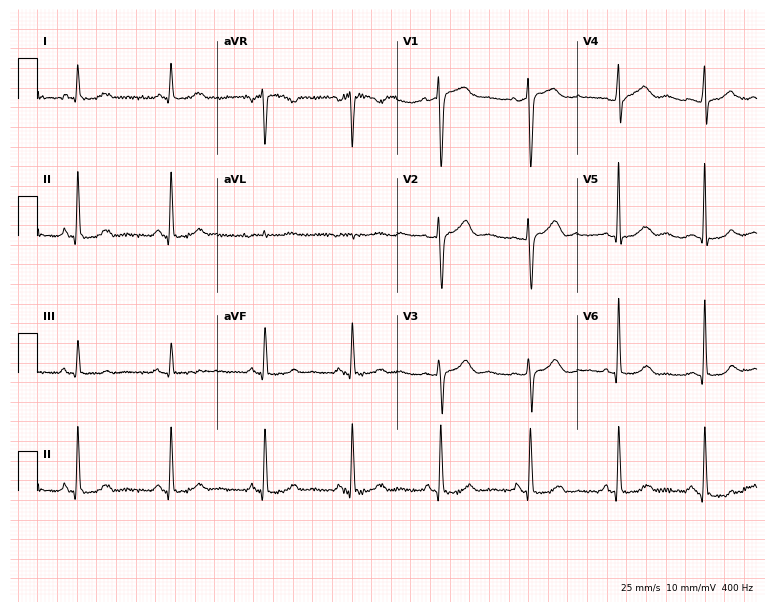
Electrocardiogram, a 46-year-old female. Of the six screened findings (first-degree AV block, right bundle branch block, left bundle branch block, sinus bradycardia, atrial fibrillation, sinus tachycardia), none is recorded. Findings outside these six are not listed.